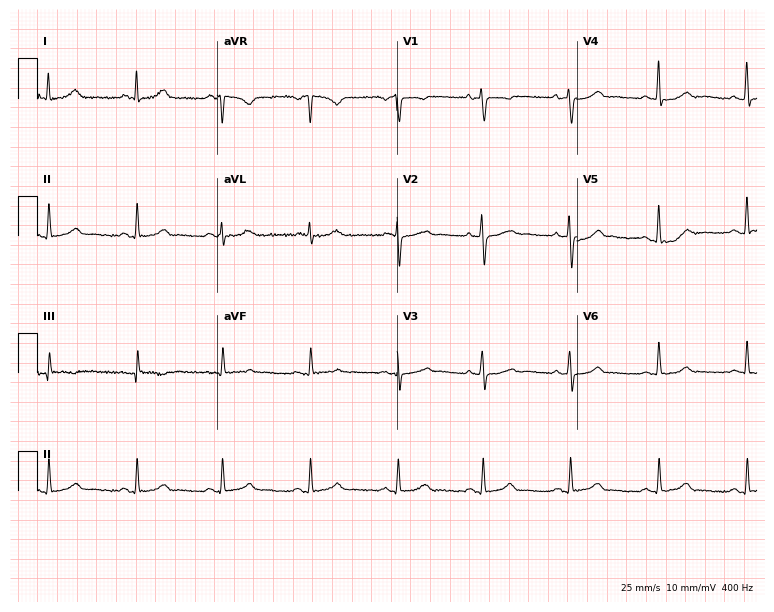
Electrocardiogram, a female patient, 56 years old. Overall reading on record: normal ECG.